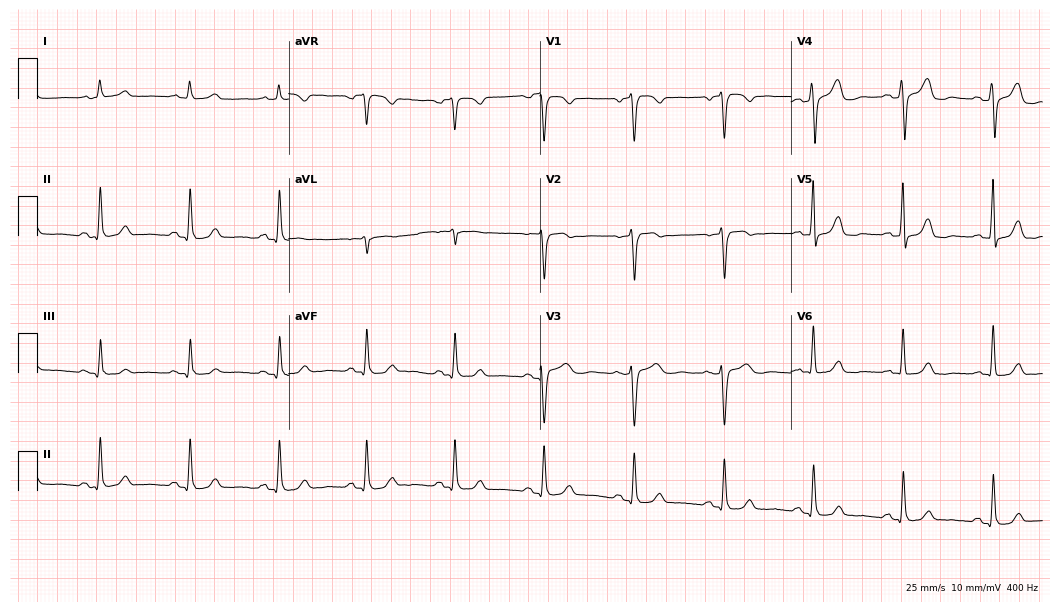
12-lead ECG from a male, 61 years old. Labelled as a normal ECG.